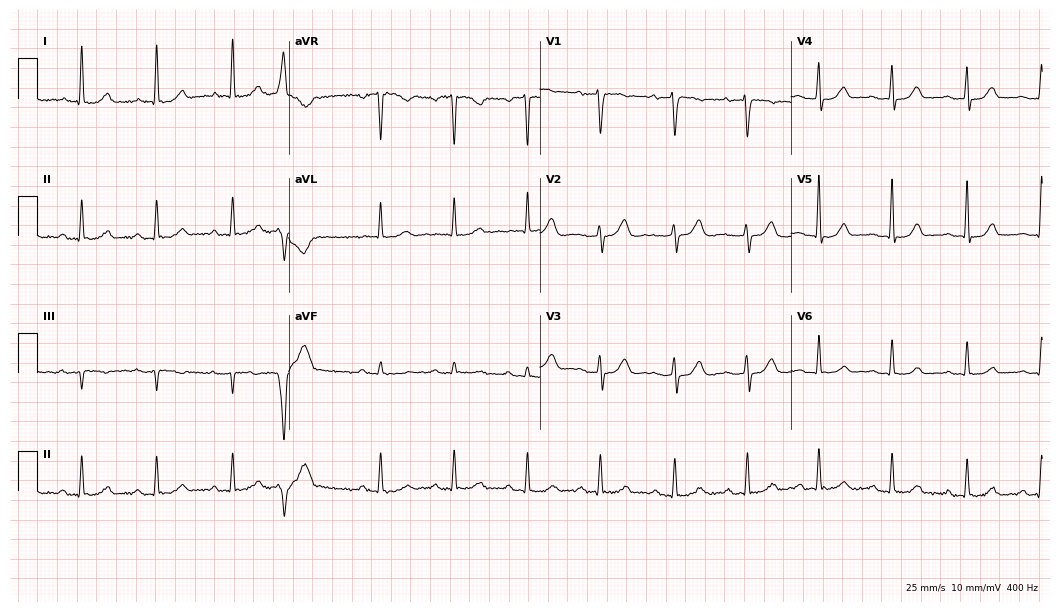
Electrocardiogram, a female patient, 61 years old. Overall reading on record: normal ECG.